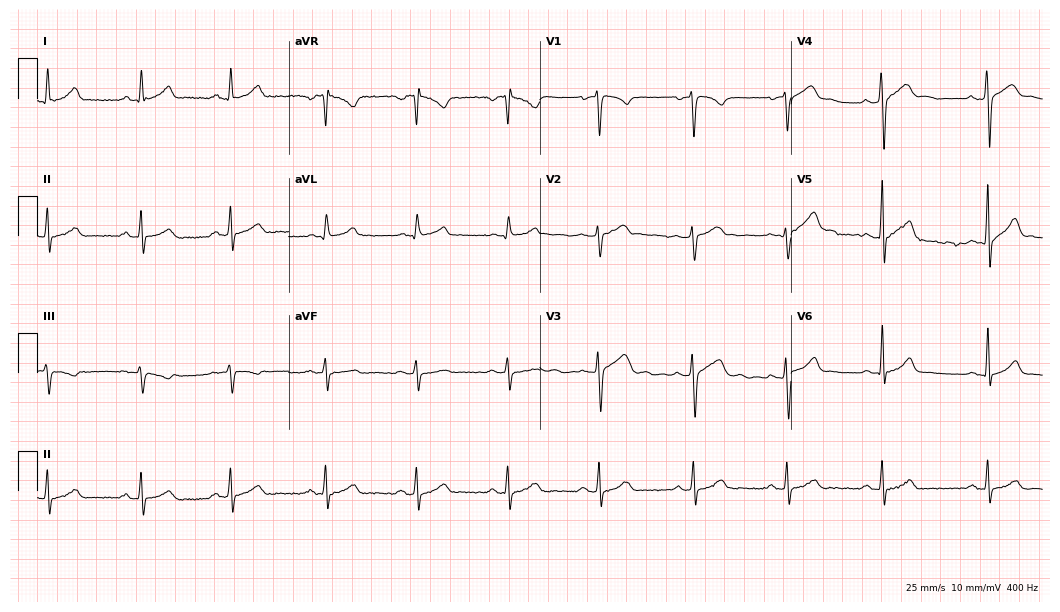
12-lead ECG from a 34-year-old man. Recorded interpretation: within normal limits.